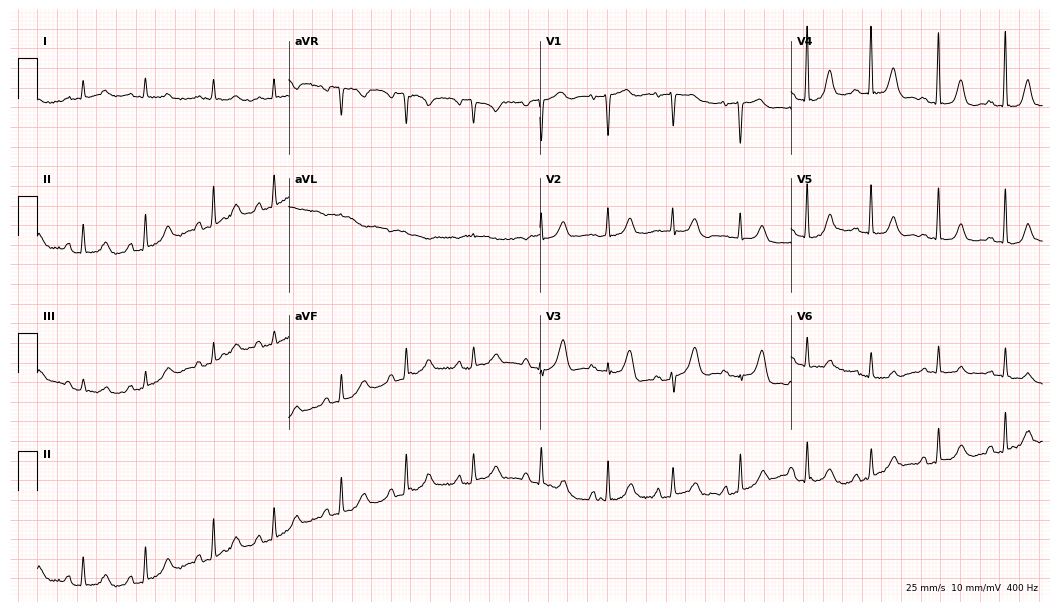
12-lead ECG from an 80-year-old female (10.2-second recording at 400 Hz). Recorded interpretation: within normal limits.